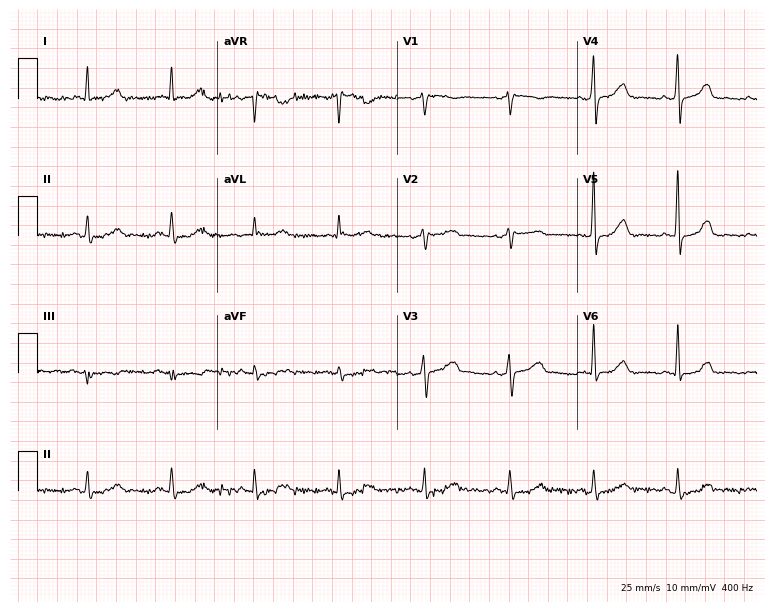
Standard 12-lead ECG recorded from a 61-year-old woman (7.3-second recording at 400 Hz). Read as a normal ECG.